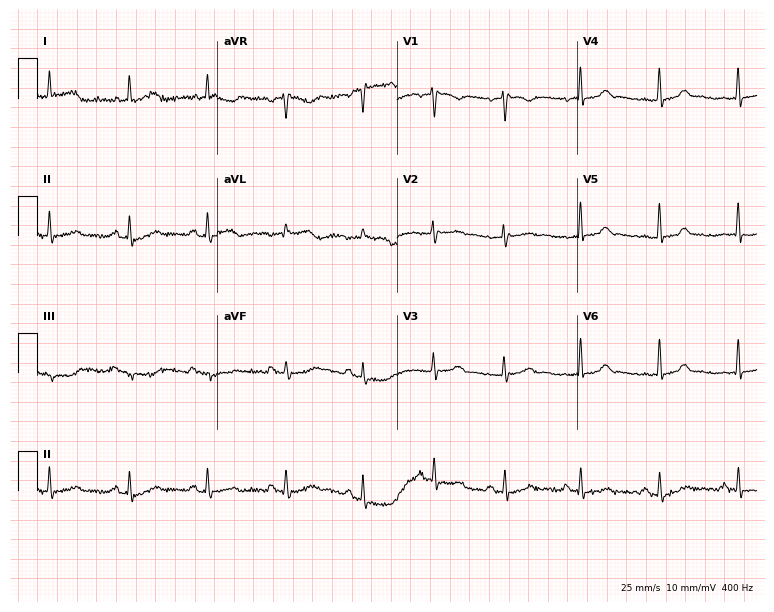
Resting 12-lead electrocardiogram. Patient: a woman, 41 years old. None of these six findings is recorded: first-degree AV block, right bundle branch block (RBBB), left bundle branch block (LBBB), sinus bradycardia, atrial fibrillation (AF), sinus tachycardia. Only these six findings were labelled.